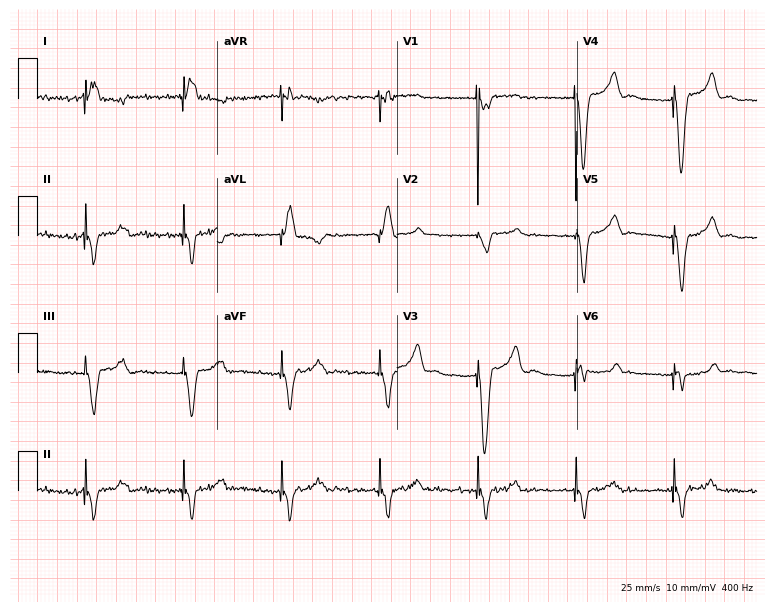
Electrocardiogram (7.3-second recording at 400 Hz), a male, 68 years old. Of the six screened findings (first-degree AV block, right bundle branch block (RBBB), left bundle branch block (LBBB), sinus bradycardia, atrial fibrillation (AF), sinus tachycardia), none is recorded. Findings outside these six are not listed.